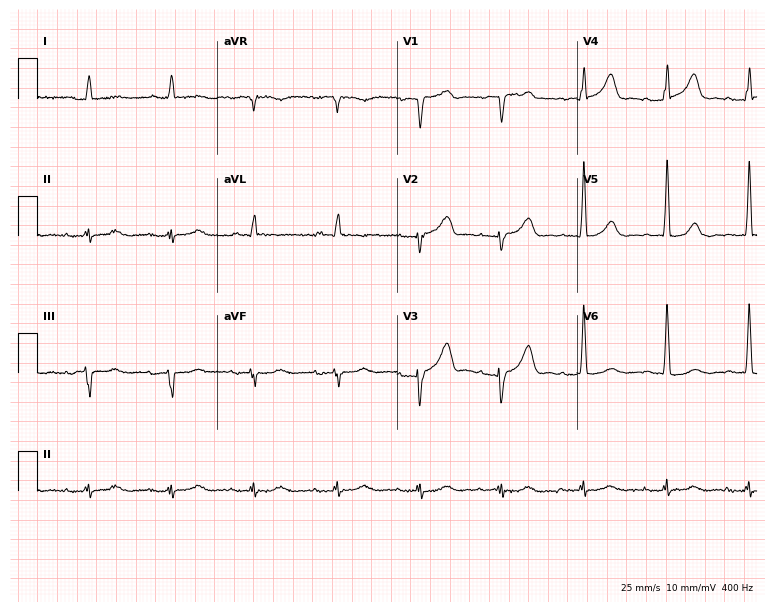
Electrocardiogram (7.3-second recording at 400 Hz), an 85-year-old male. Interpretation includes first-degree AV block.